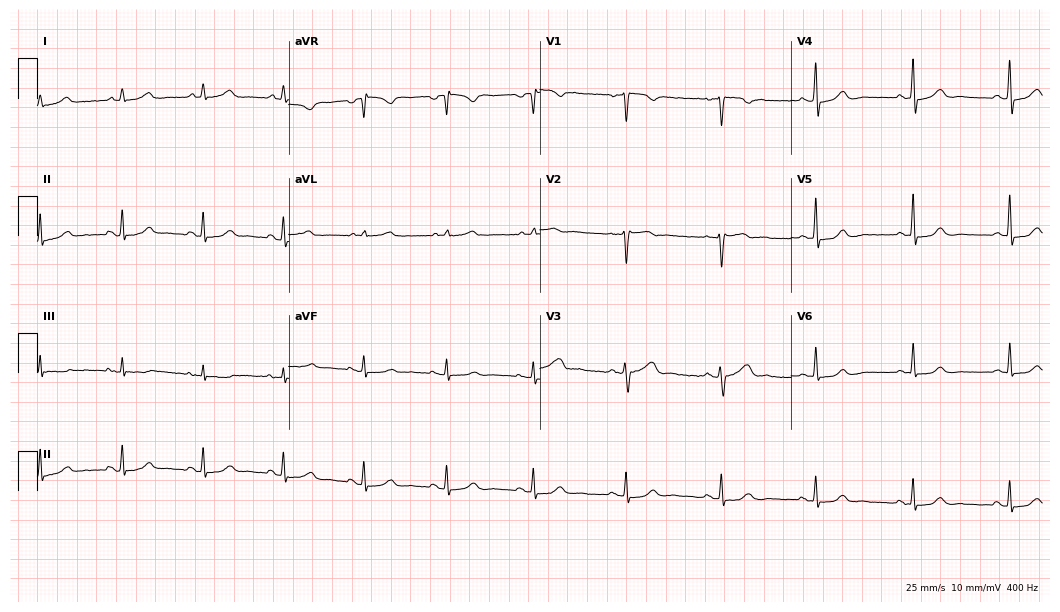
Standard 12-lead ECG recorded from a woman, 54 years old. None of these six findings is recorded: first-degree AV block, right bundle branch block, left bundle branch block, sinus bradycardia, atrial fibrillation, sinus tachycardia.